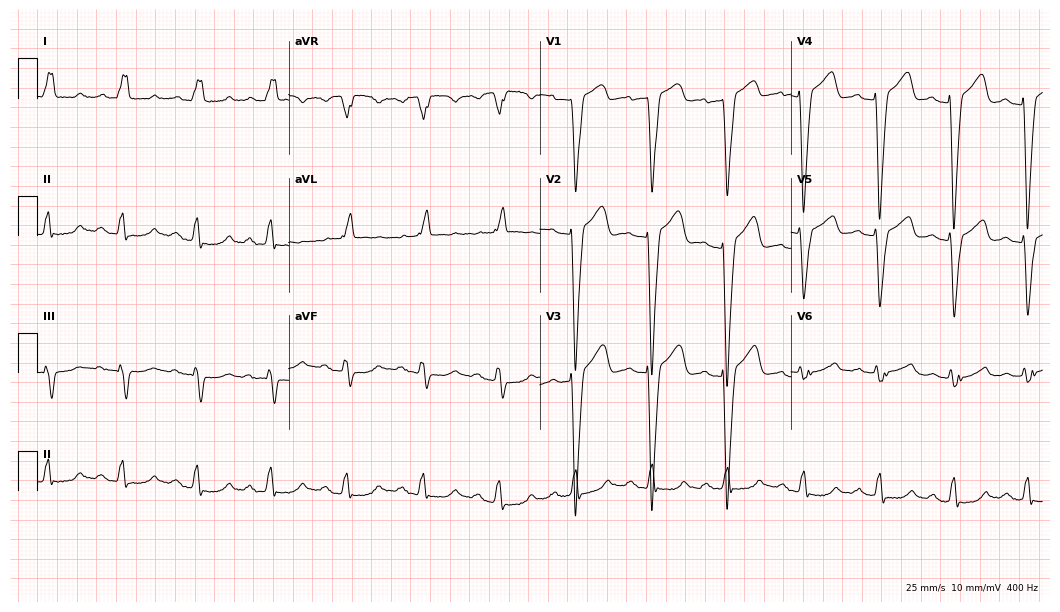
12-lead ECG (10.2-second recording at 400 Hz) from a 71-year-old female patient. Screened for six findings — first-degree AV block, right bundle branch block, left bundle branch block, sinus bradycardia, atrial fibrillation, sinus tachycardia — none is recorded.